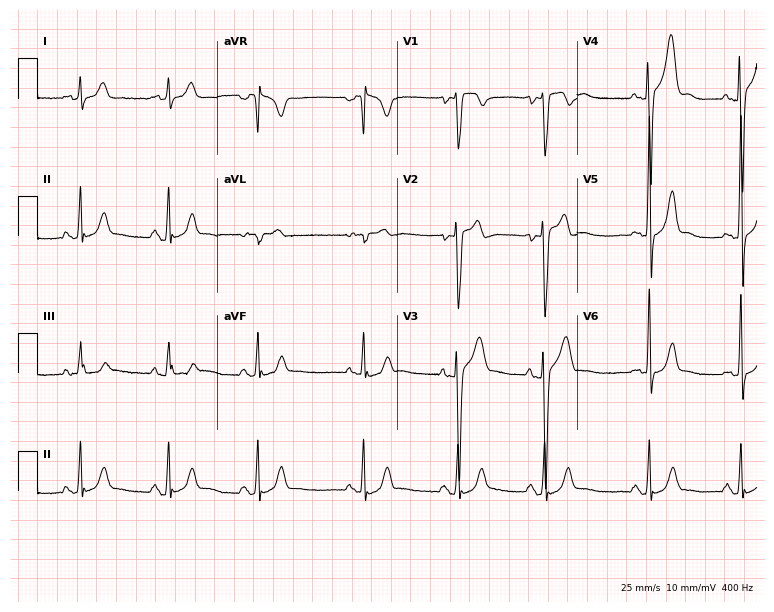
12-lead ECG from a man, 19 years old (7.3-second recording at 400 Hz). No first-degree AV block, right bundle branch block, left bundle branch block, sinus bradycardia, atrial fibrillation or sinus tachycardia recorded for this tracing. Findings outside these six are not listed.